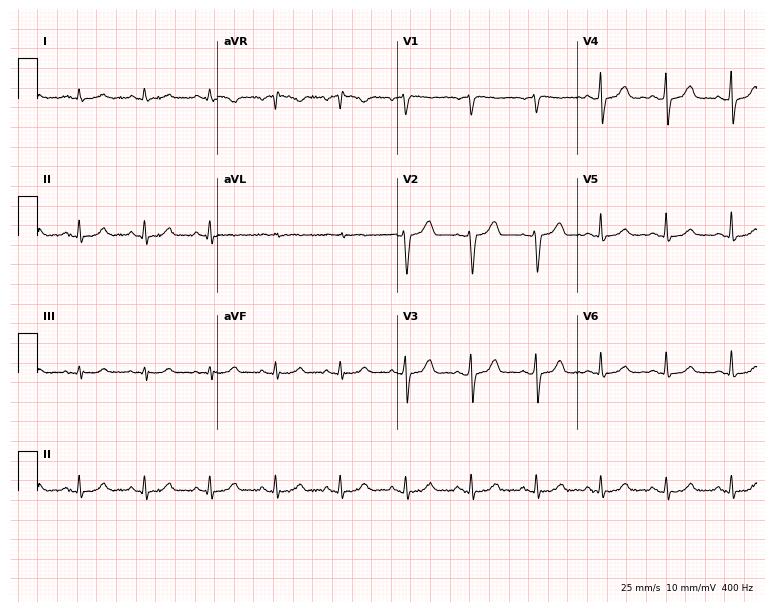
Standard 12-lead ECG recorded from a 67-year-old male patient (7.3-second recording at 400 Hz). Read as a normal ECG.